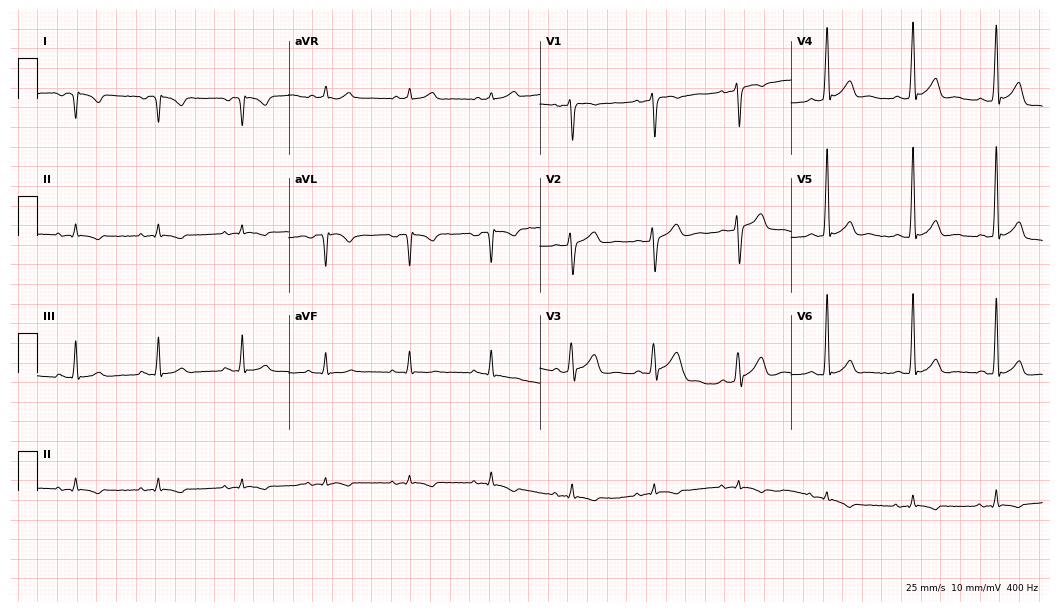
Standard 12-lead ECG recorded from a 41-year-old male. None of these six findings is recorded: first-degree AV block, right bundle branch block, left bundle branch block, sinus bradycardia, atrial fibrillation, sinus tachycardia.